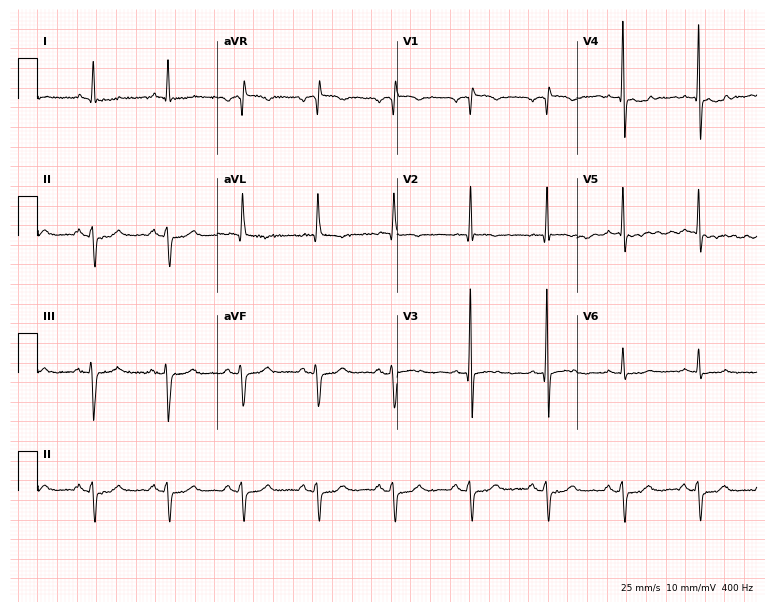
Resting 12-lead electrocardiogram (7.3-second recording at 400 Hz). Patient: a 57-year-old male. None of these six findings is recorded: first-degree AV block, right bundle branch block, left bundle branch block, sinus bradycardia, atrial fibrillation, sinus tachycardia.